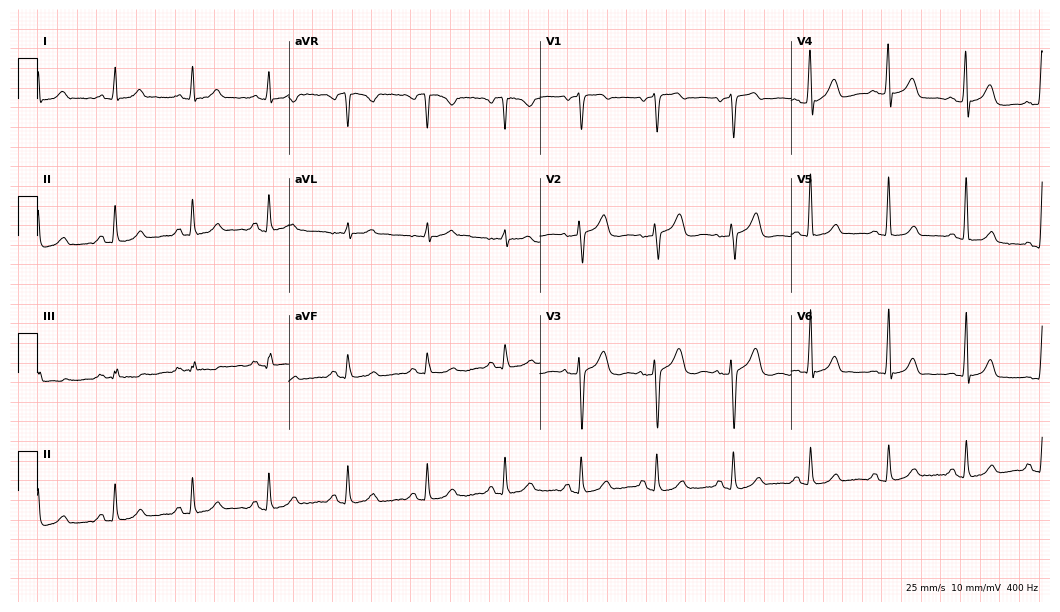
Standard 12-lead ECG recorded from a male, 57 years old. Read as a normal ECG.